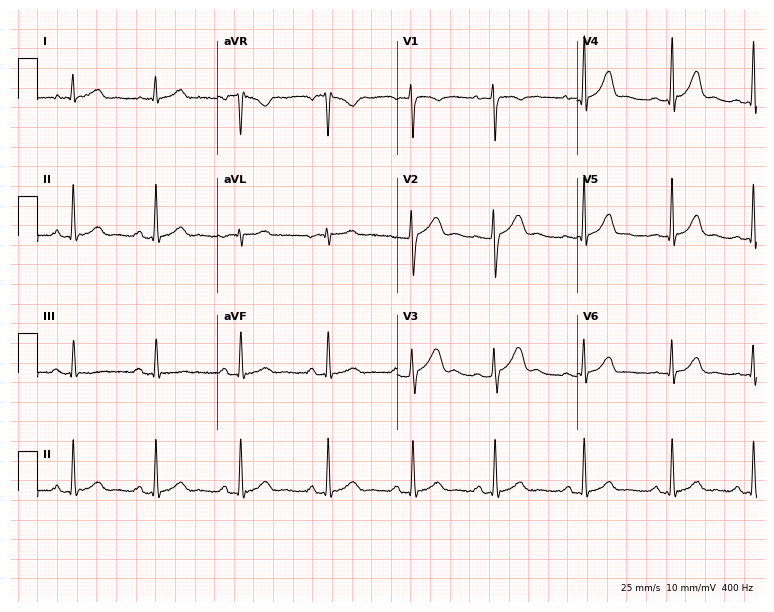
12-lead ECG from a female patient, 23 years old. No first-degree AV block, right bundle branch block, left bundle branch block, sinus bradycardia, atrial fibrillation or sinus tachycardia recorded for this tracing.